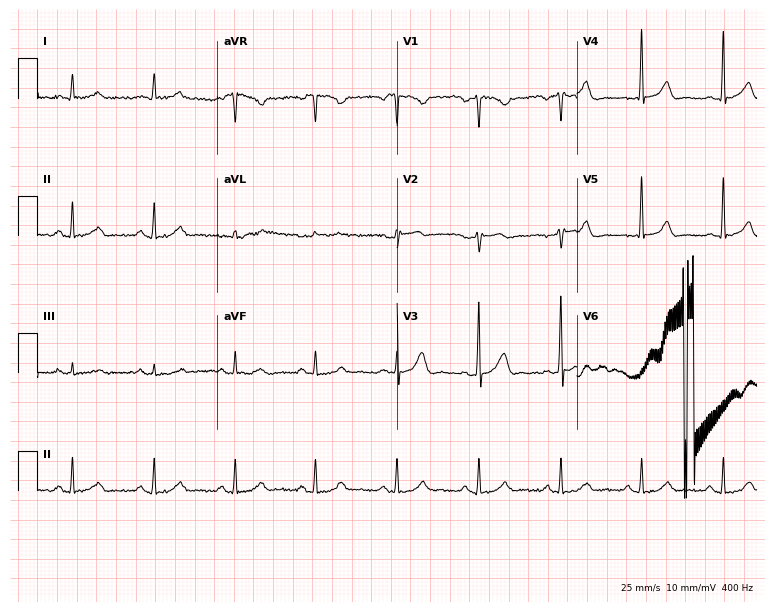
12-lead ECG from a 54-year-old man. Screened for six findings — first-degree AV block, right bundle branch block (RBBB), left bundle branch block (LBBB), sinus bradycardia, atrial fibrillation (AF), sinus tachycardia — none is recorded.